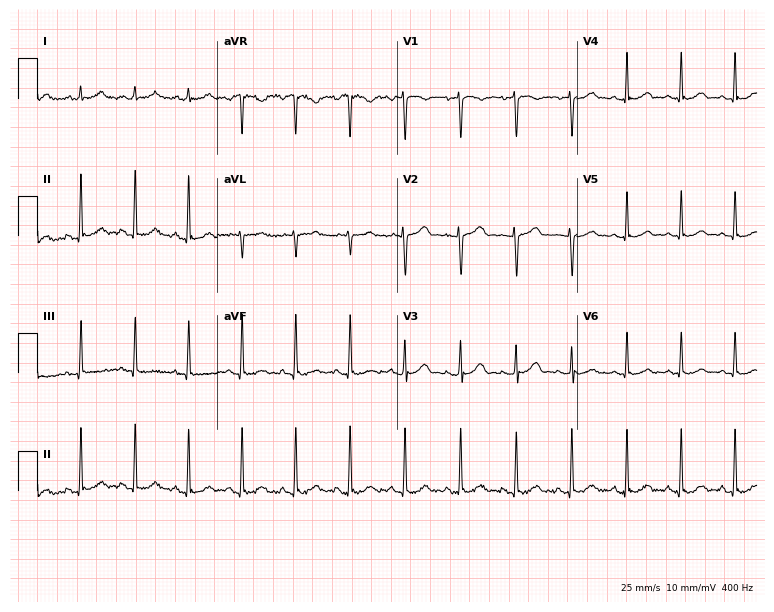
Resting 12-lead electrocardiogram. Patient: a female, 22 years old. The tracing shows sinus tachycardia (a sinus rate of 100 beats per minute or more).